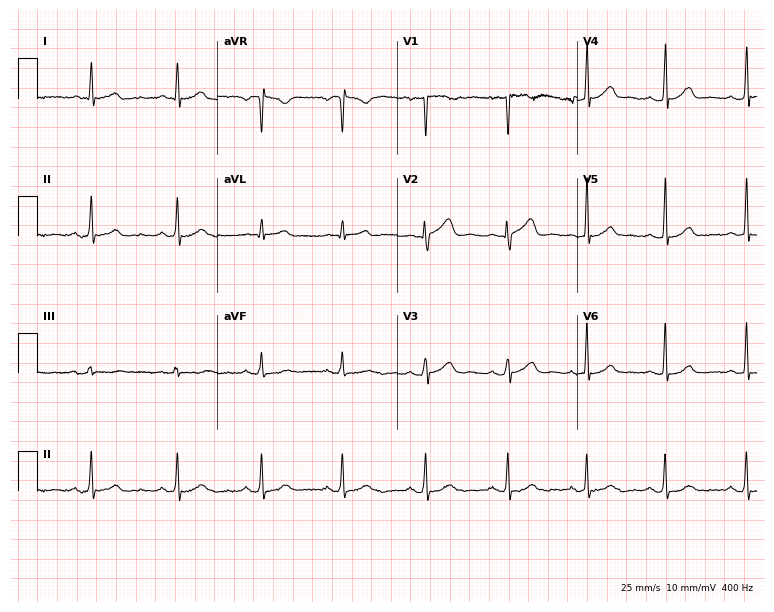
12-lead ECG (7.3-second recording at 400 Hz) from a female patient, 34 years old. Labelled as a normal ECG.